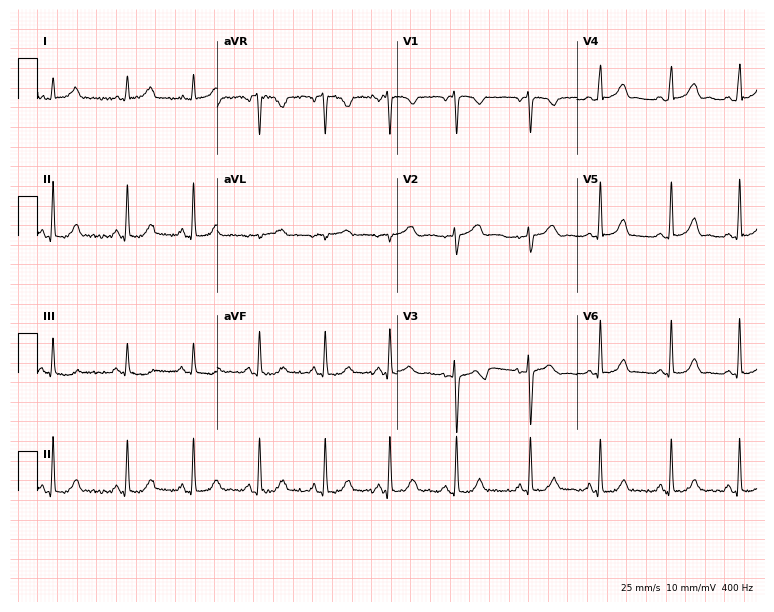
12-lead ECG (7.3-second recording at 400 Hz) from a 51-year-old woman. Labelled as a normal ECG.